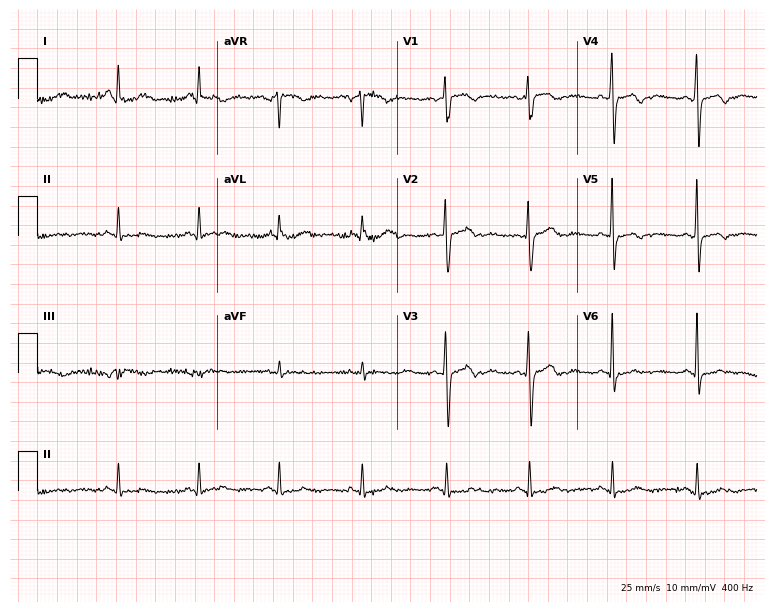
Electrocardiogram, a female, 69 years old. Of the six screened findings (first-degree AV block, right bundle branch block (RBBB), left bundle branch block (LBBB), sinus bradycardia, atrial fibrillation (AF), sinus tachycardia), none is recorded. Other findings, if any, are not listed.